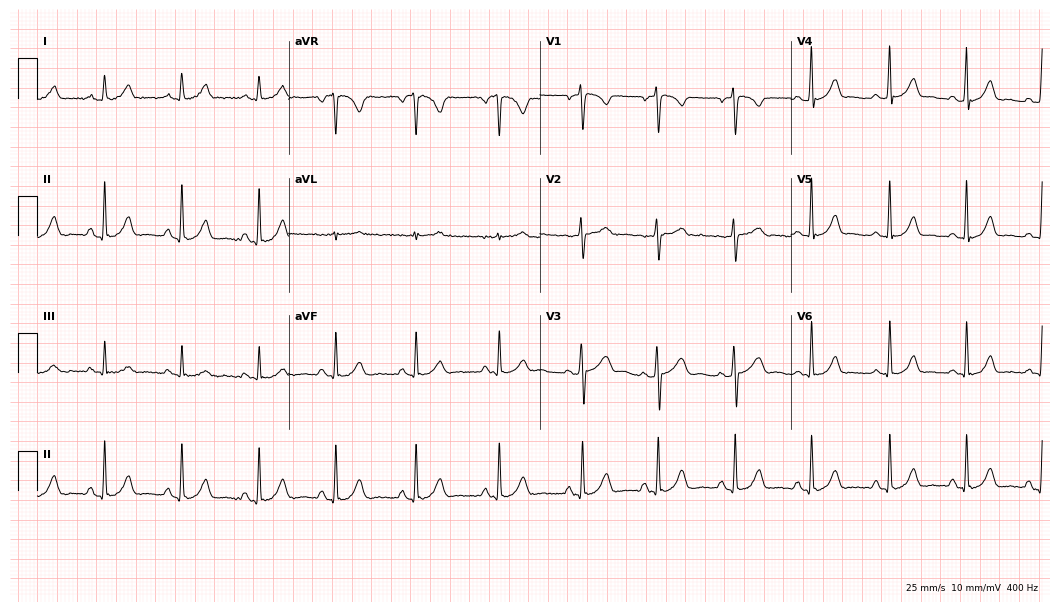
12-lead ECG from a female, 19 years old. Recorded interpretation: within normal limits.